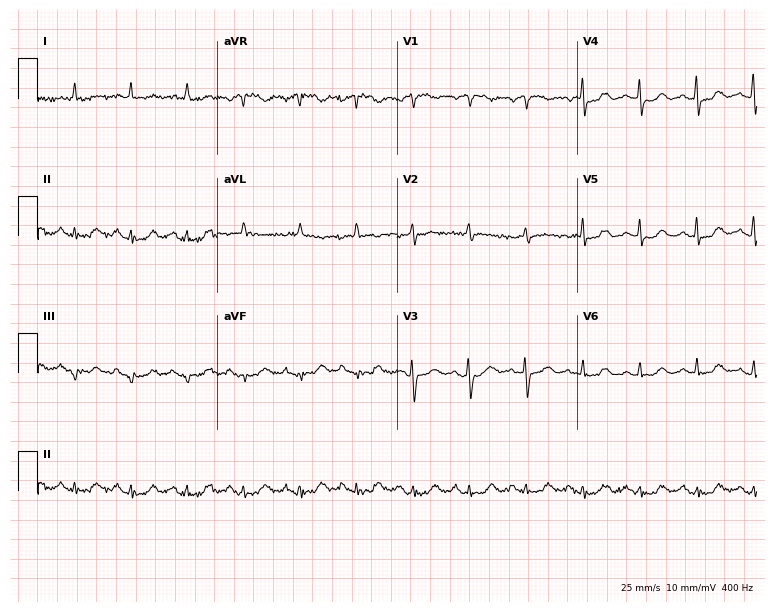
12-lead ECG from an 83-year-old female patient. Findings include sinus tachycardia (a sinus rate of 100 beats per minute or more).